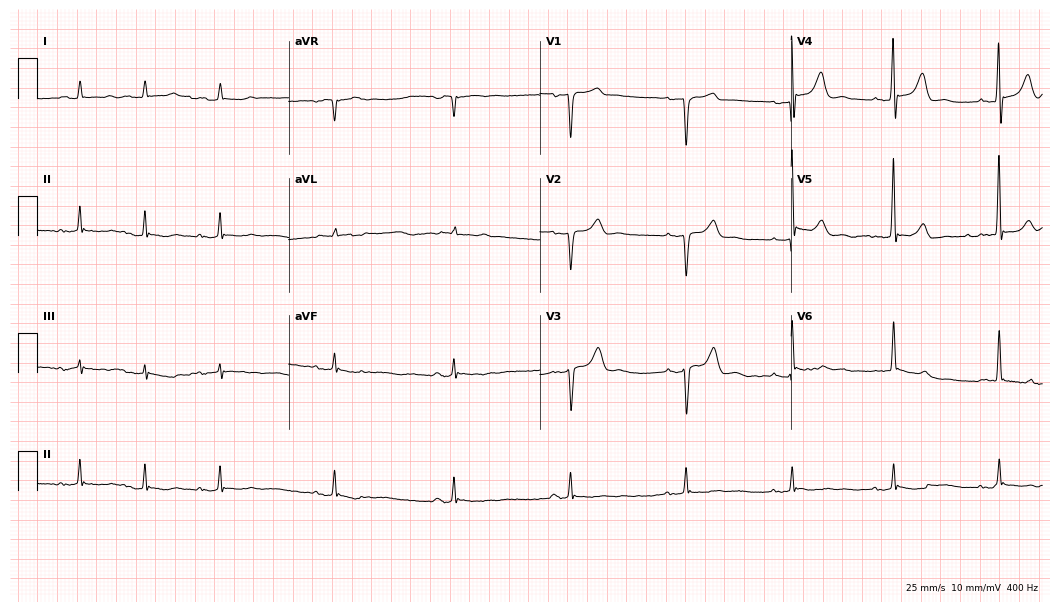
12-lead ECG from a 63-year-old male. Screened for six findings — first-degree AV block, right bundle branch block (RBBB), left bundle branch block (LBBB), sinus bradycardia, atrial fibrillation (AF), sinus tachycardia — none is recorded. Other findings, if any, are not listed.